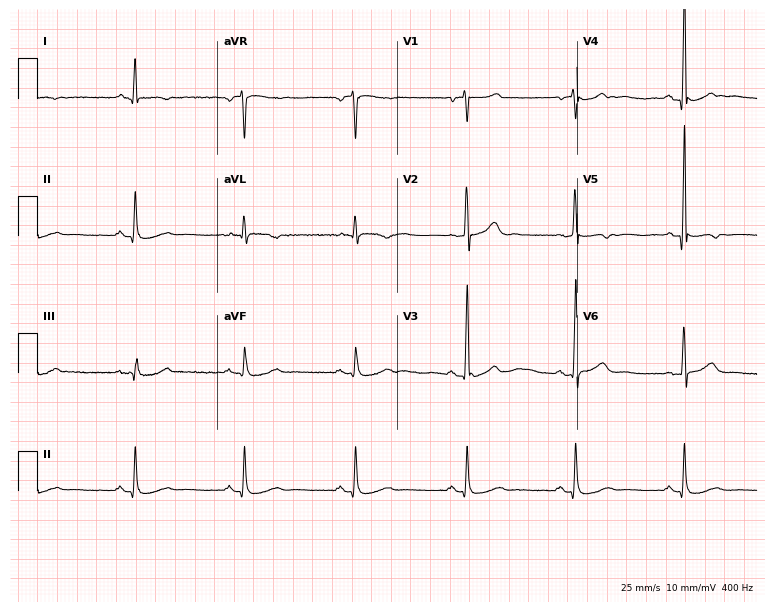
Resting 12-lead electrocardiogram. Patient: a 63-year-old male. Read as a normal ECG.